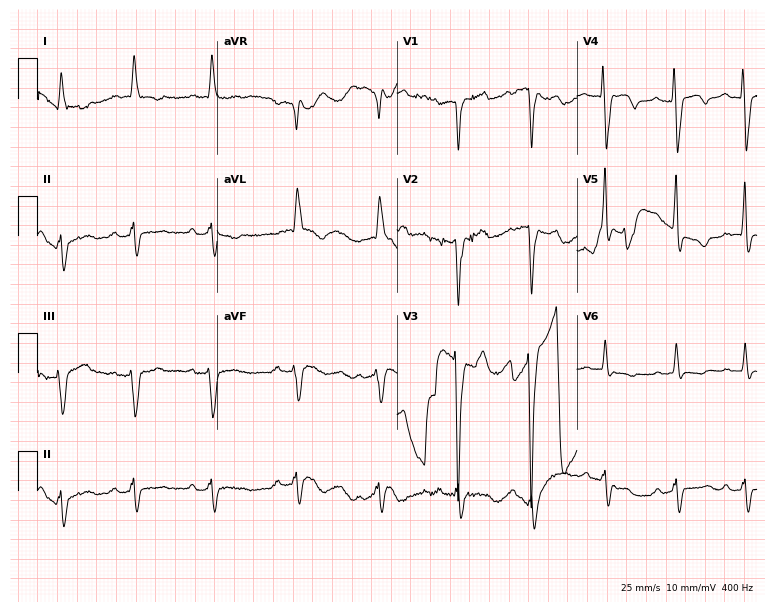
Standard 12-lead ECG recorded from a 67-year-old man (7.3-second recording at 400 Hz). The tracing shows left bundle branch block (LBBB).